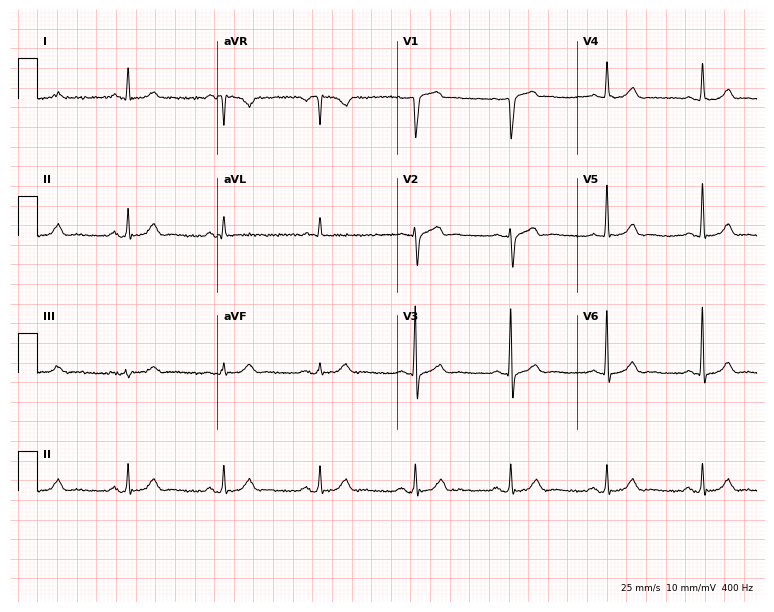
12-lead ECG (7.3-second recording at 400 Hz) from a 71-year-old male. Screened for six findings — first-degree AV block, right bundle branch block, left bundle branch block, sinus bradycardia, atrial fibrillation, sinus tachycardia — none is recorded. Other findings, if any, are not listed.